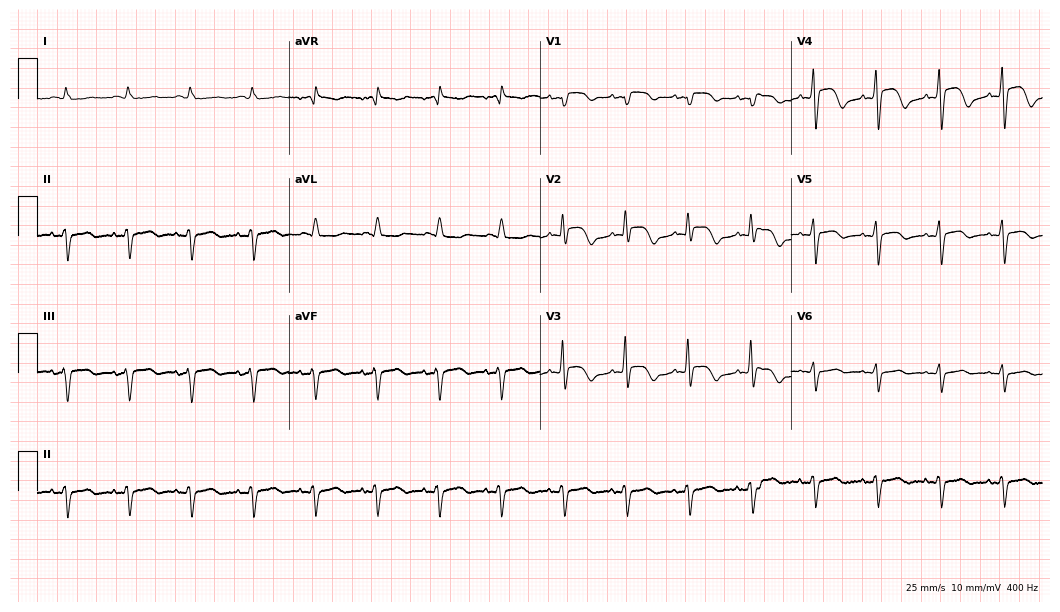
Standard 12-lead ECG recorded from a female patient, 85 years old (10.2-second recording at 400 Hz). None of these six findings is recorded: first-degree AV block, right bundle branch block, left bundle branch block, sinus bradycardia, atrial fibrillation, sinus tachycardia. Other findings, if any, are not listed.